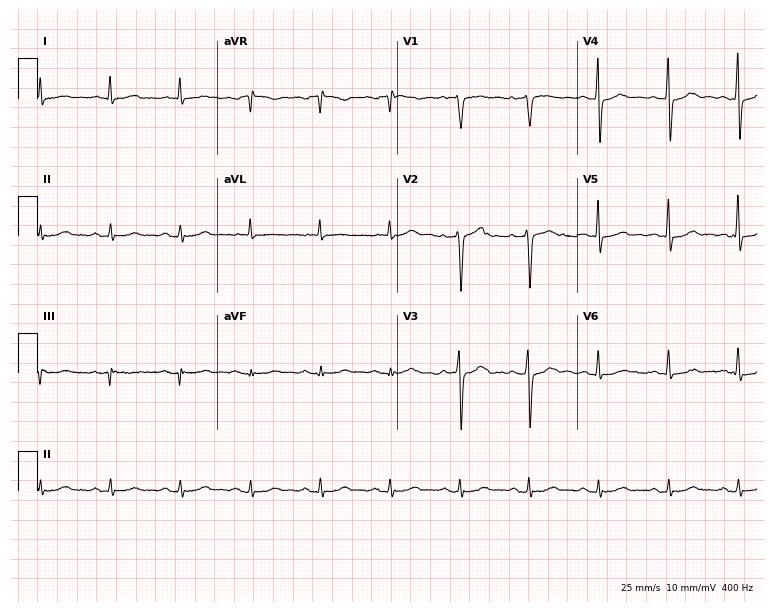
12-lead ECG from a man, 84 years old. No first-degree AV block, right bundle branch block, left bundle branch block, sinus bradycardia, atrial fibrillation or sinus tachycardia recorded for this tracing. Other findings, if any, are not listed.